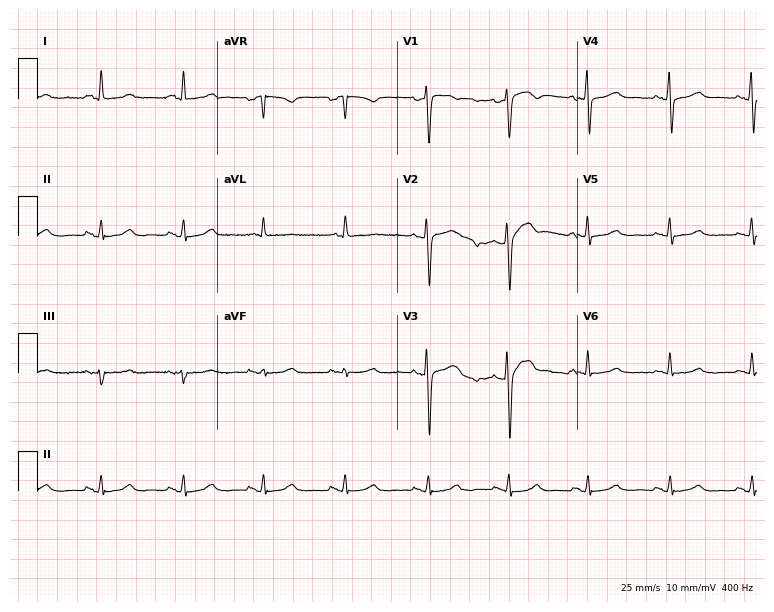
12-lead ECG from a female, 60 years old. No first-degree AV block, right bundle branch block (RBBB), left bundle branch block (LBBB), sinus bradycardia, atrial fibrillation (AF) or sinus tachycardia recorded for this tracing.